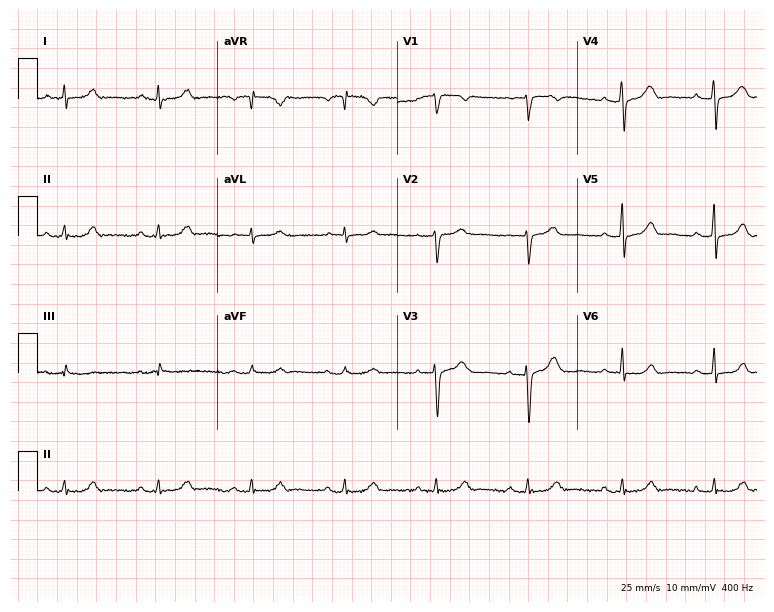
12-lead ECG (7.3-second recording at 400 Hz) from a female patient, 56 years old. Labelled as a normal ECG.